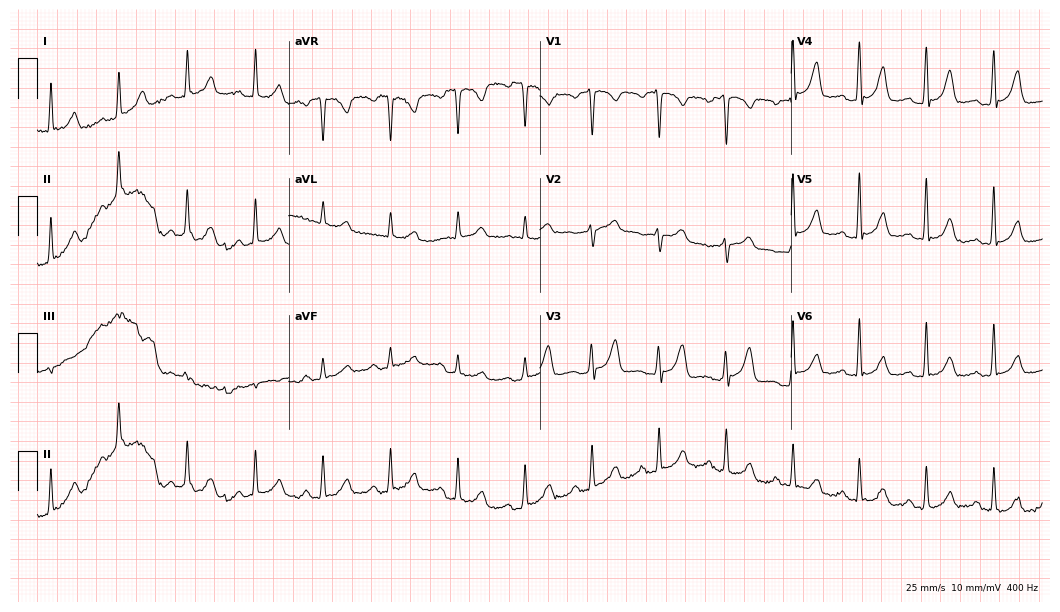
ECG (10.2-second recording at 400 Hz) — a woman, 59 years old. Labelled as a normal ECG.